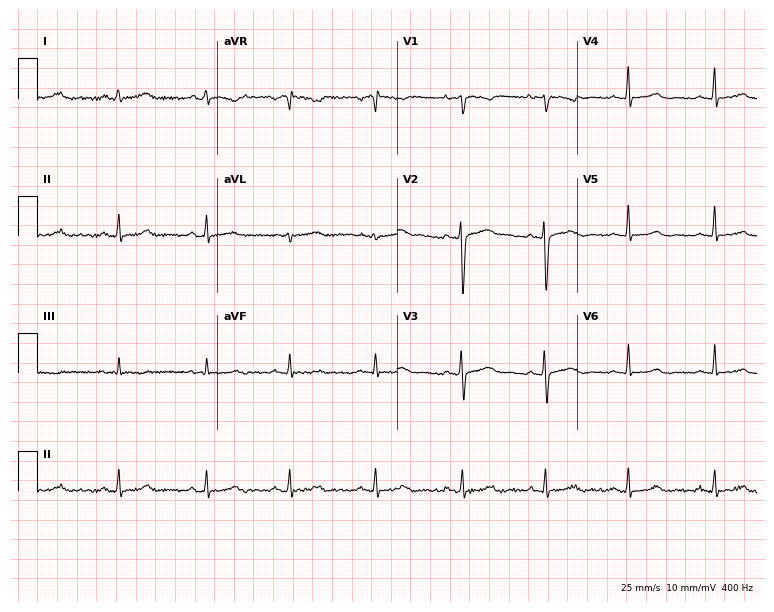
12-lead ECG (7.3-second recording at 400 Hz) from a 35-year-old woman. Labelled as a normal ECG.